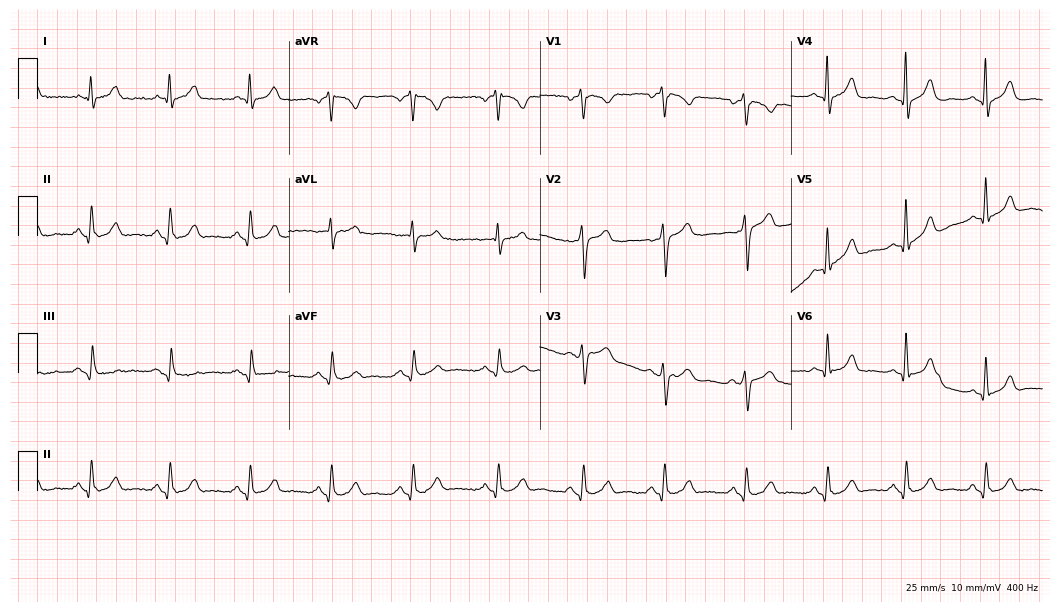
12-lead ECG from a 47-year-old male patient. No first-degree AV block, right bundle branch block (RBBB), left bundle branch block (LBBB), sinus bradycardia, atrial fibrillation (AF) or sinus tachycardia recorded for this tracing.